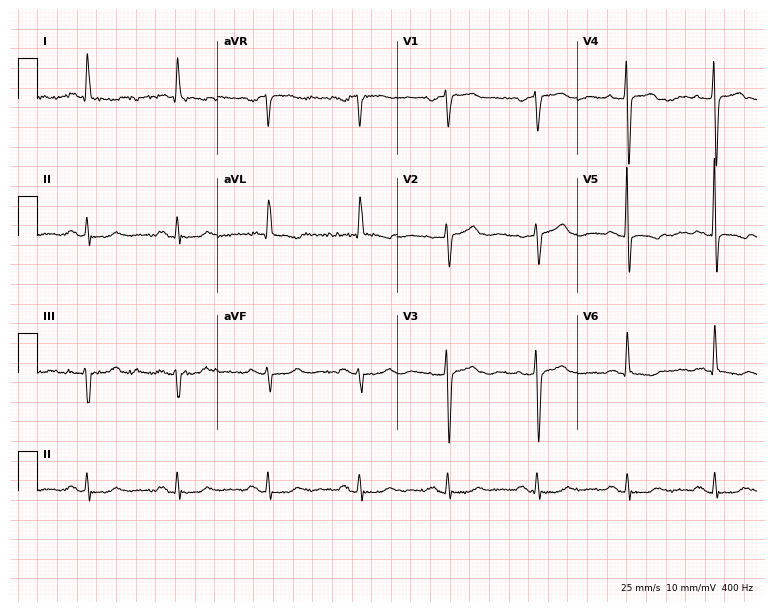
Standard 12-lead ECG recorded from a 63-year-old woman (7.3-second recording at 400 Hz). None of these six findings is recorded: first-degree AV block, right bundle branch block, left bundle branch block, sinus bradycardia, atrial fibrillation, sinus tachycardia. Other findings, if any, are not listed.